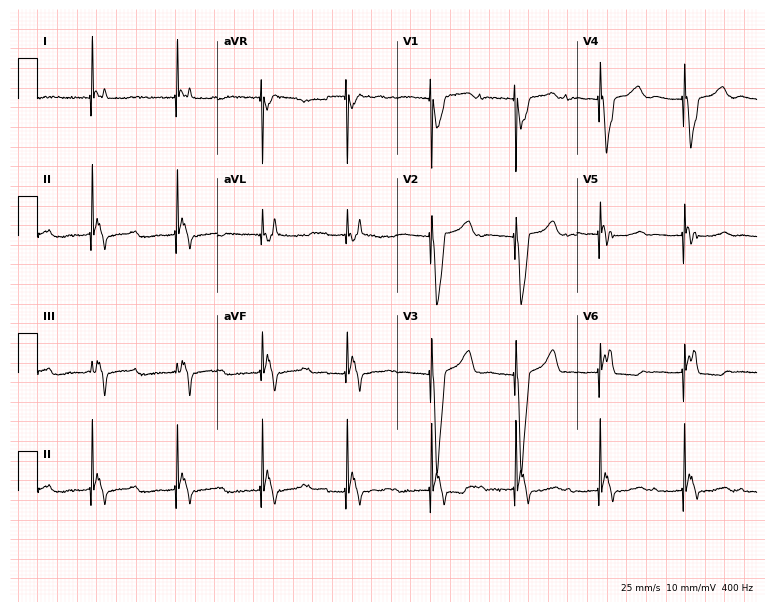
12-lead ECG from a woman, 62 years old. No first-degree AV block, right bundle branch block (RBBB), left bundle branch block (LBBB), sinus bradycardia, atrial fibrillation (AF) or sinus tachycardia recorded for this tracing.